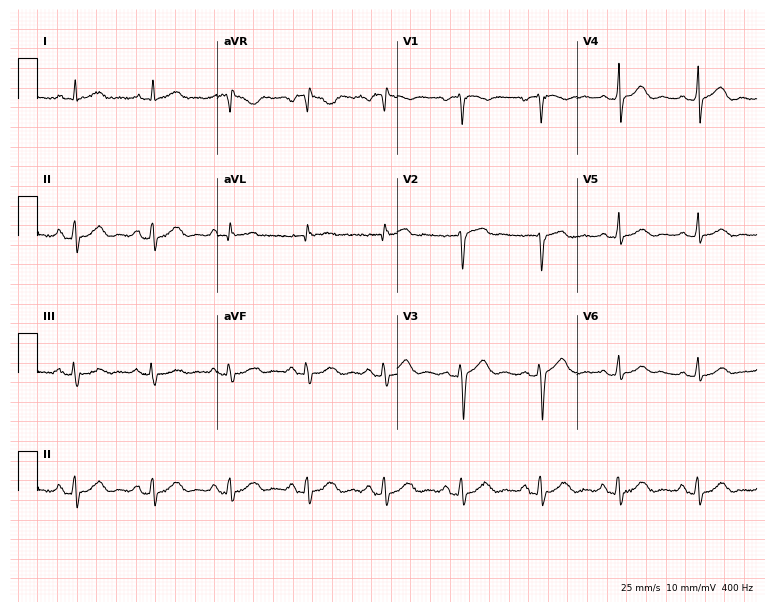
Standard 12-lead ECG recorded from a male patient, 54 years old (7.3-second recording at 400 Hz). Read as a normal ECG.